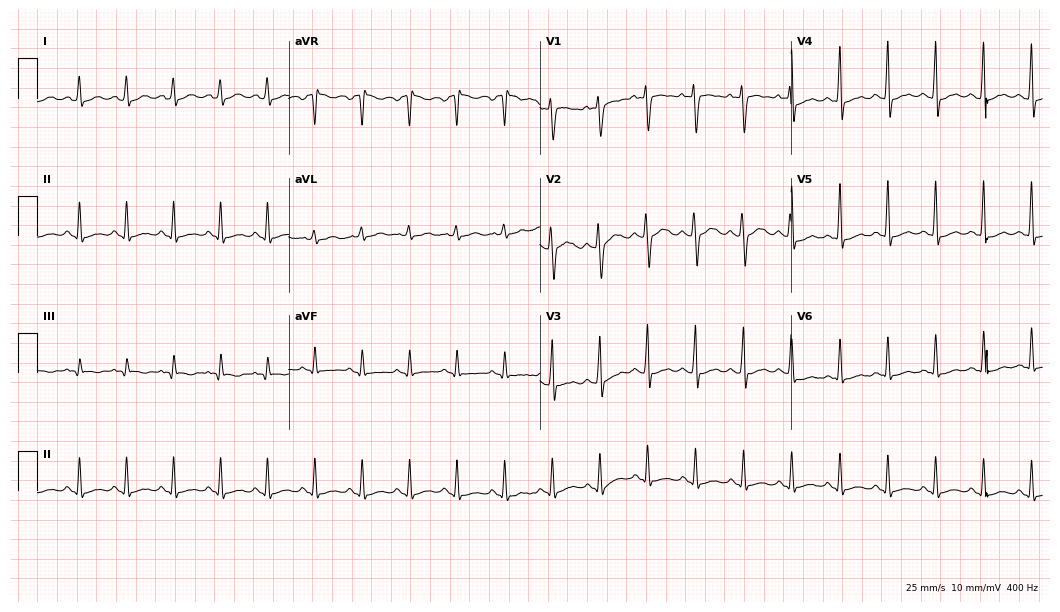
12-lead ECG (10.2-second recording at 400 Hz) from a 17-year-old female. Findings include sinus tachycardia (a sinus rate of 100 beats per minute or more).